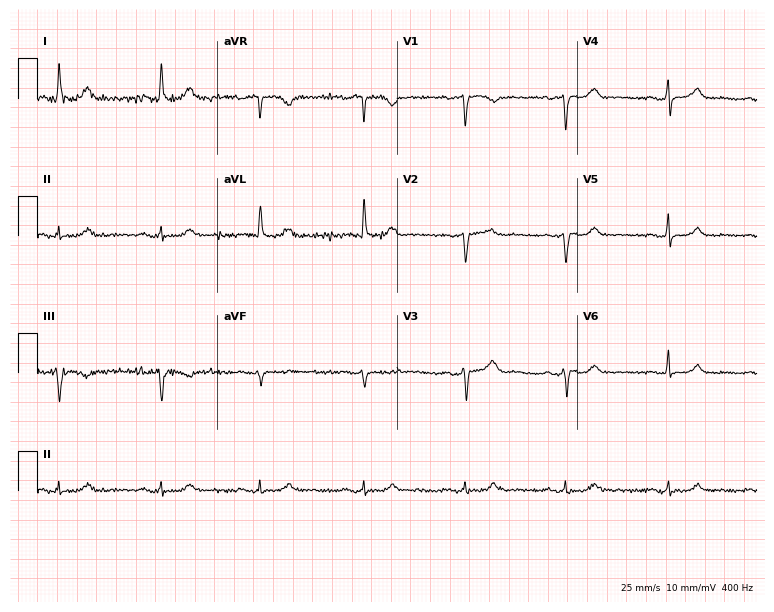
12-lead ECG from a 62-year-old female patient (7.3-second recording at 400 Hz). Recorded interpretation: within normal limits.